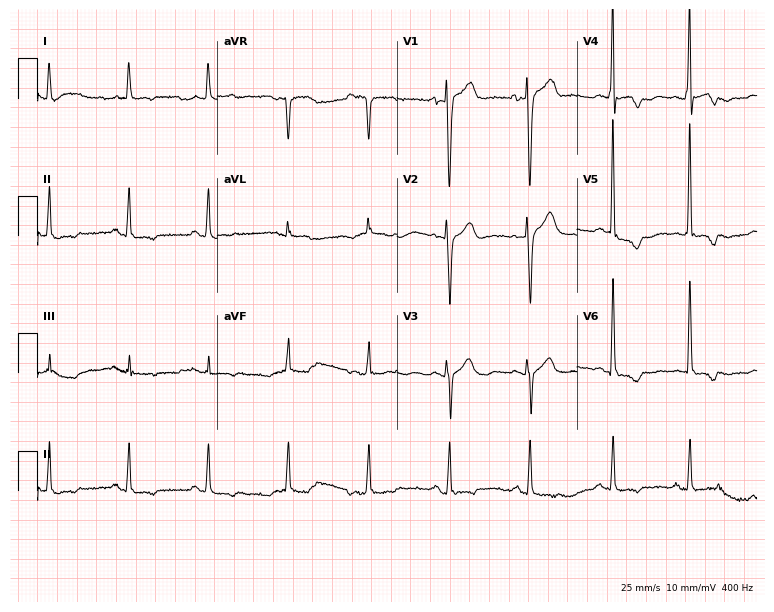
12-lead ECG from a 76-year-old male. Labelled as a normal ECG.